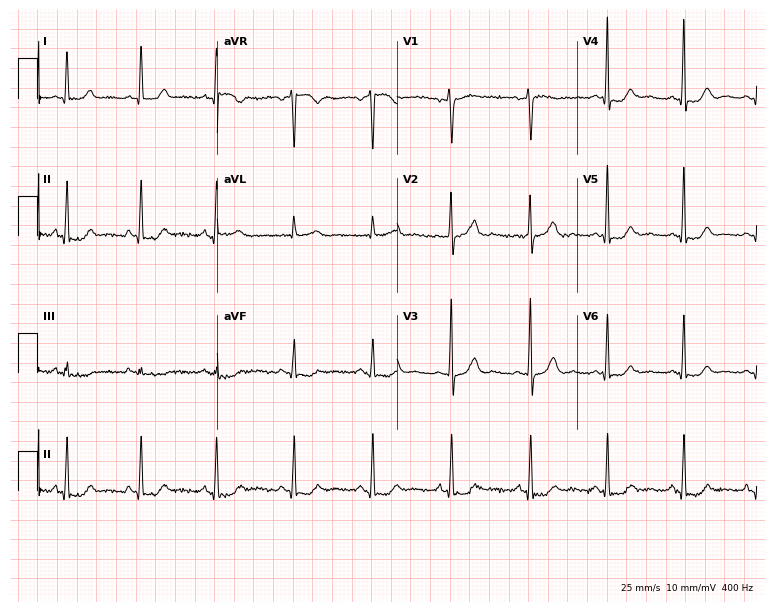
ECG — a woman, 46 years old. Labelled as a normal ECG.